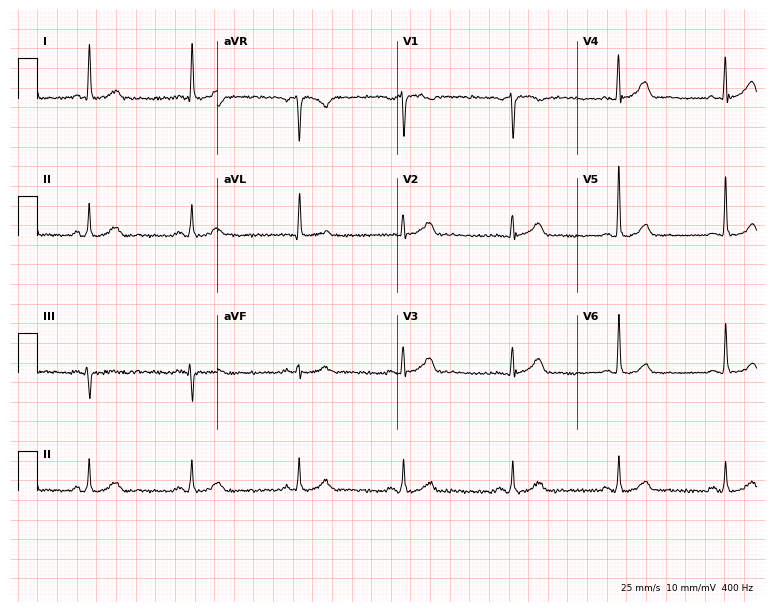
12-lead ECG from a female, 75 years old. No first-degree AV block, right bundle branch block, left bundle branch block, sinus bradycardia, atrial fibrillation or sinus tachycardia recorded for this tracing.